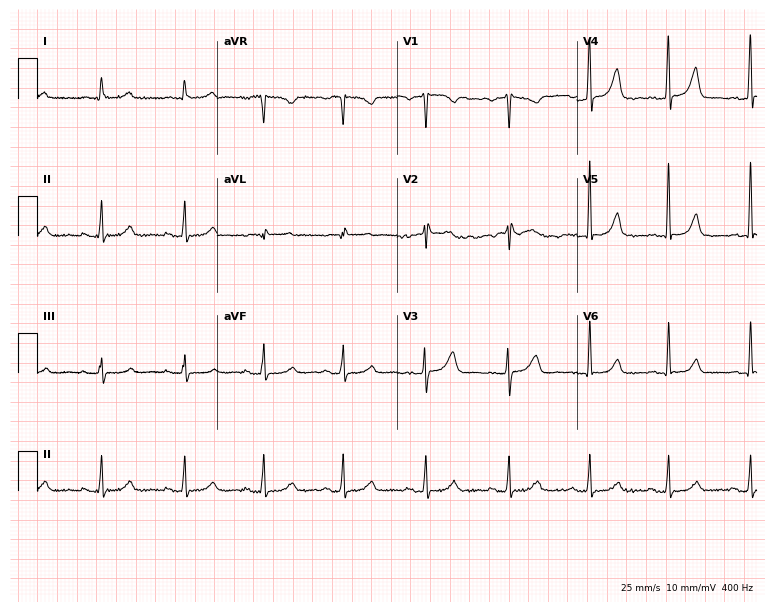
Resting 12-lead electrocardiogram (7.3-second recording at 400 Hz). Patient: a 47-year-old female. Read as a normal ECG.